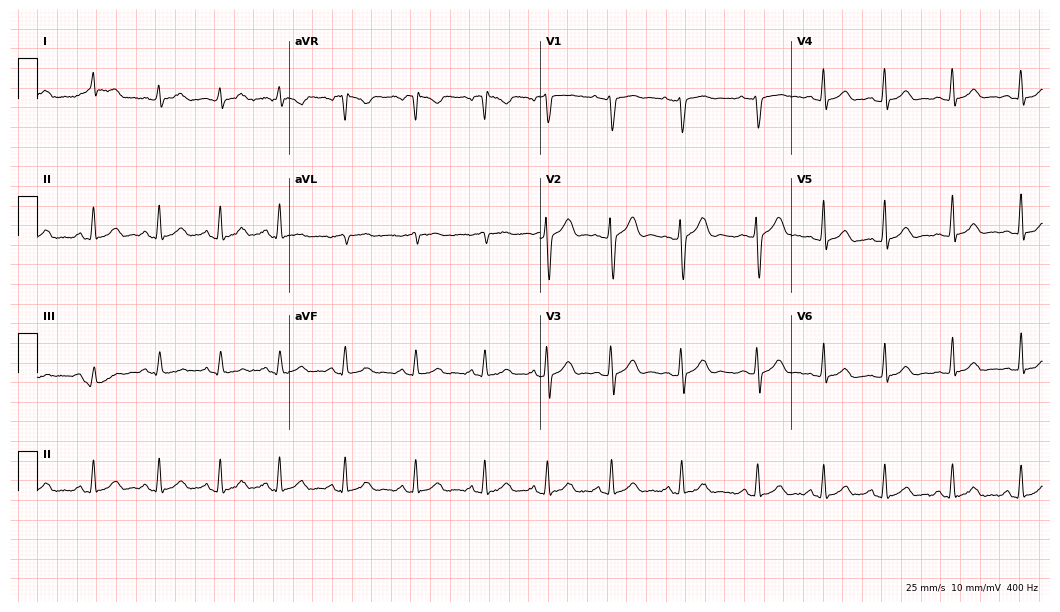
Resting 12-lead electrocardiogram (10.2-second recording at 400 Hz). Patient: a female, 24 years old. Read as a normal ECG.